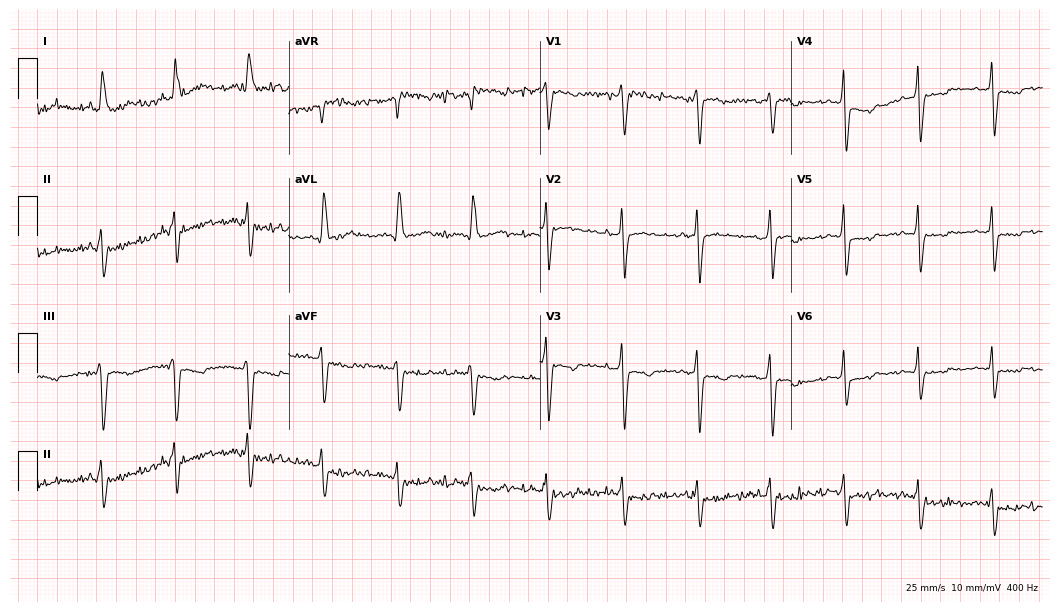
12-lead ECG from a 51-year-old woman (10.2-second recording at 400 Hz). No first-degree AV block, right bundle branch block, left bundle branch block, sinus bradycardia, atrial fibrillation or sinus tachycardia recorded for this tracing.